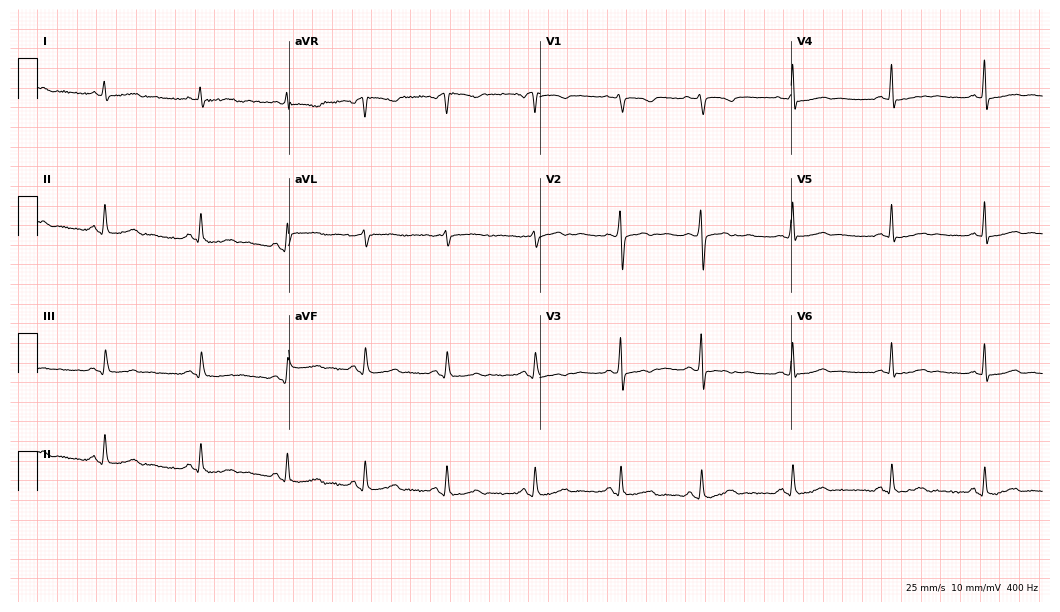
ECG — a female patient, 39 years old. Screened for six findings — first-degree AV block, right bundle branch block, left bundle branch block, sinus bradycardia, atrial fibrillation, sinus tachycardia — none is recorded. Only these six findings were labelled.